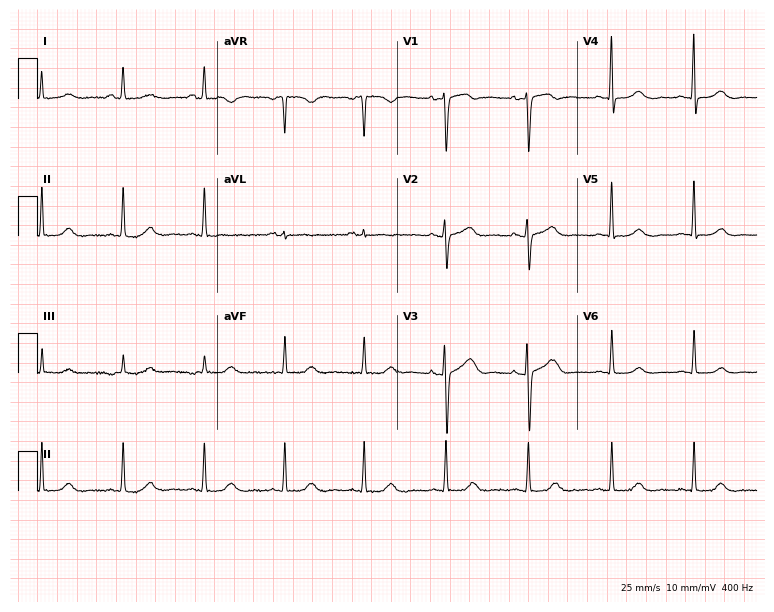
Standard 12-lead ECG recorded from a woman, 51 years old (7.3-second recording at 400 Hz). Read as a normal ECG.